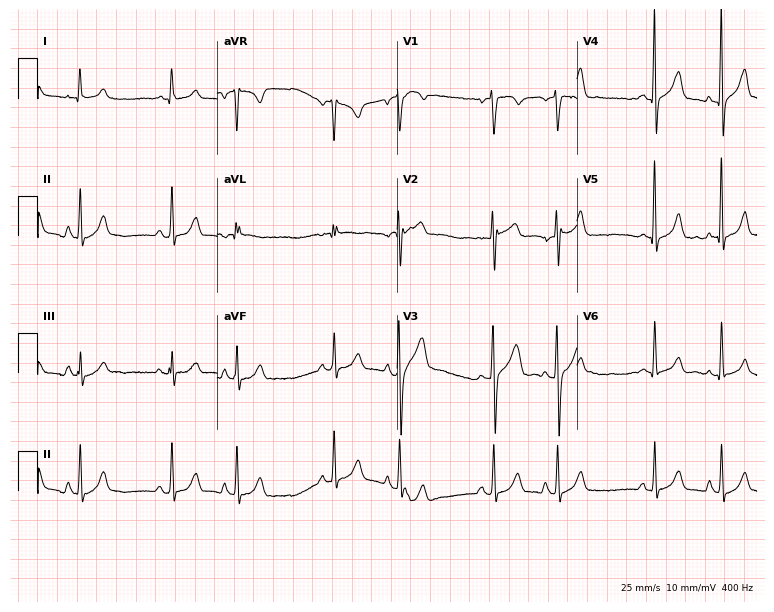
Electrocardiogram (7.3-second recording at 400 Hz), a male patient, 21 years old. Overall reading on record: normal ECG.